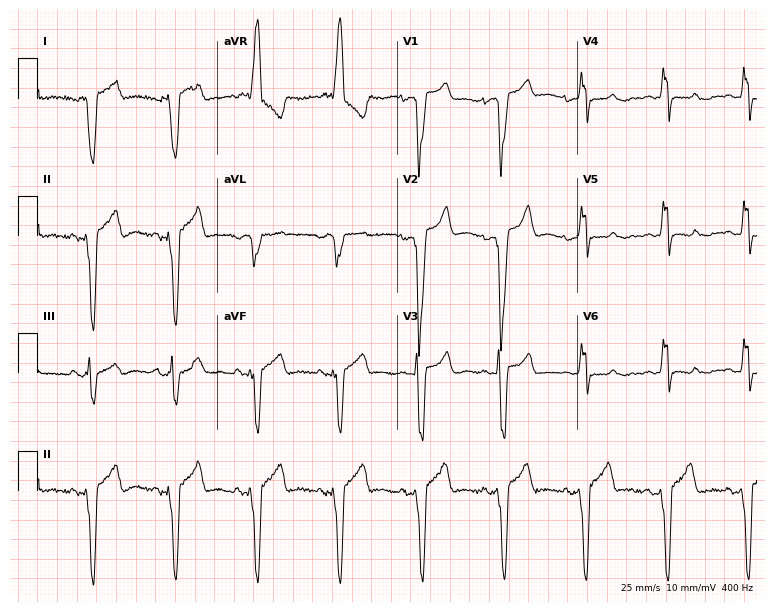
Electrocardiogram (7.3-second recording at 400 Hz), a female patient, 63 years old. Of the six screened findings (first-degree AV block, right bundle branch block, left bundle branch block, sinus bradycardia, atrial fibrillation, sinus tachycardia), none is recorded. Other findings, if any, are not listed.